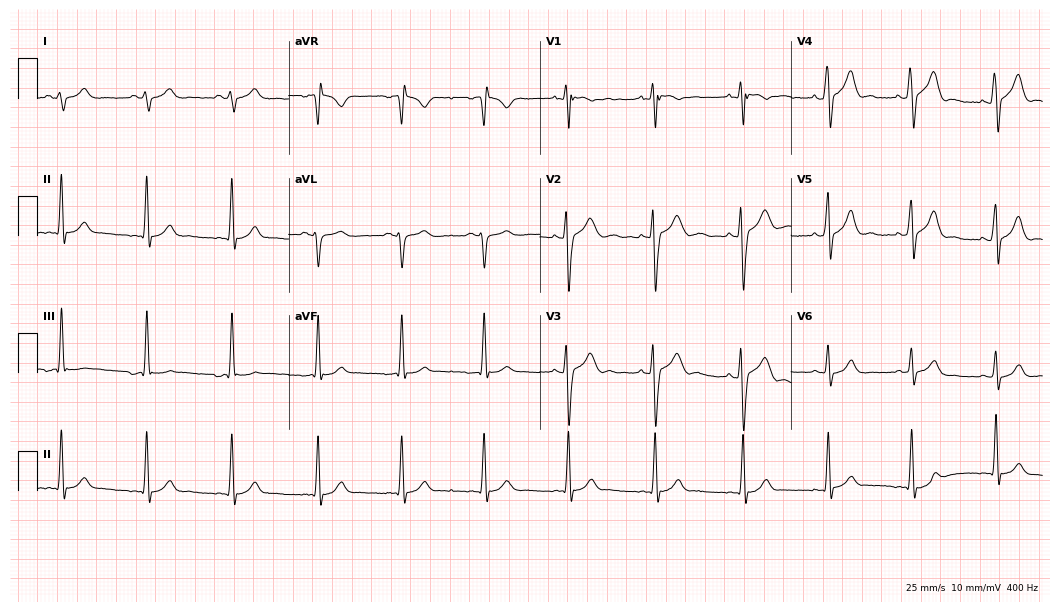
Standard 12-lead ECG recorded from a 20-year-old man (10.2-second recording at 400 Hz). None of these six findings is recorded: first-degree AV block, right bundle branch block, left bundle branch block, sinus bradycardia, atrial fibrillation, sinus tachycardia.